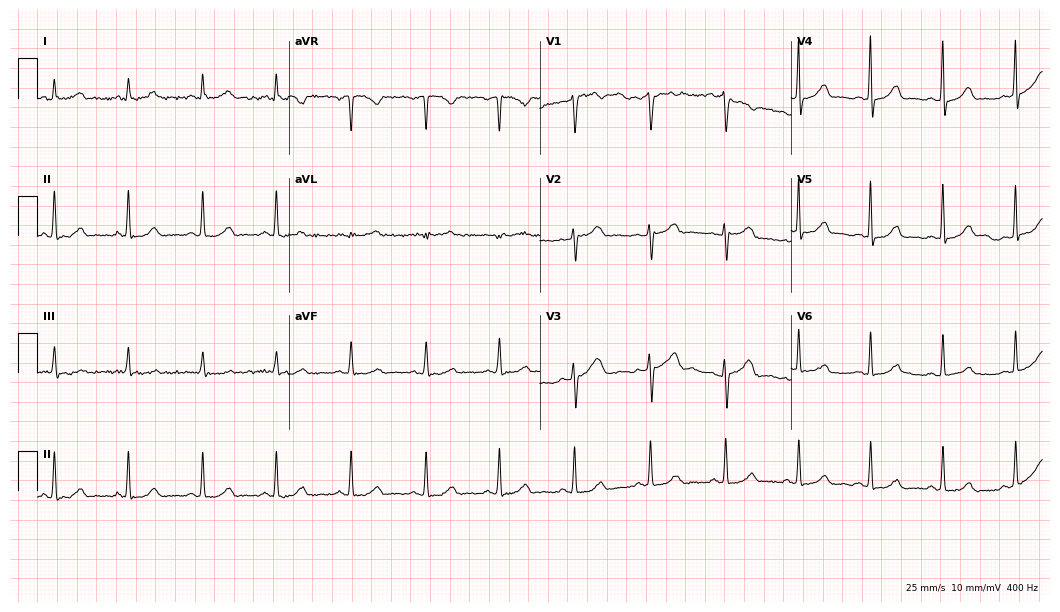
Standard 12-lead ECG recorded from a 35-year-old female. Read as a normal ECG.